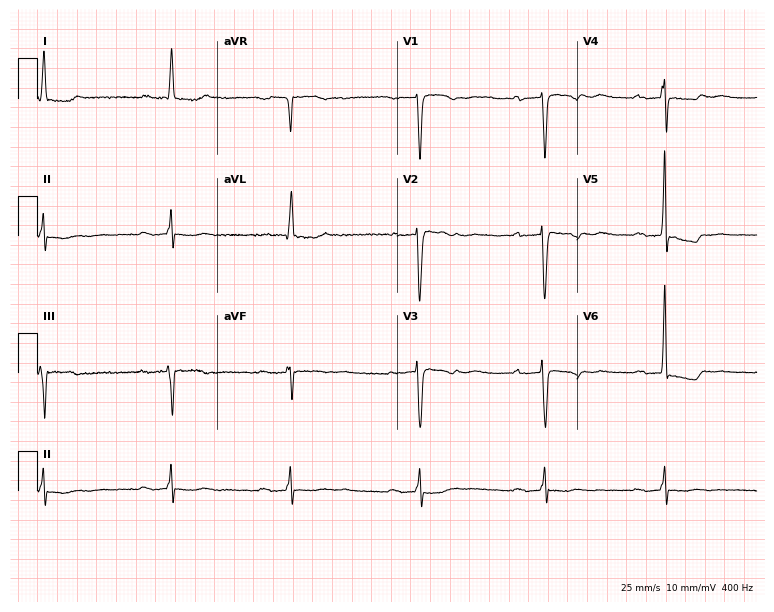
12-lead ECG from a 71-year-old female patient. Shows first-degree AV block, sinus bradycardia (a sinus rate of 50 beats per minute or less).